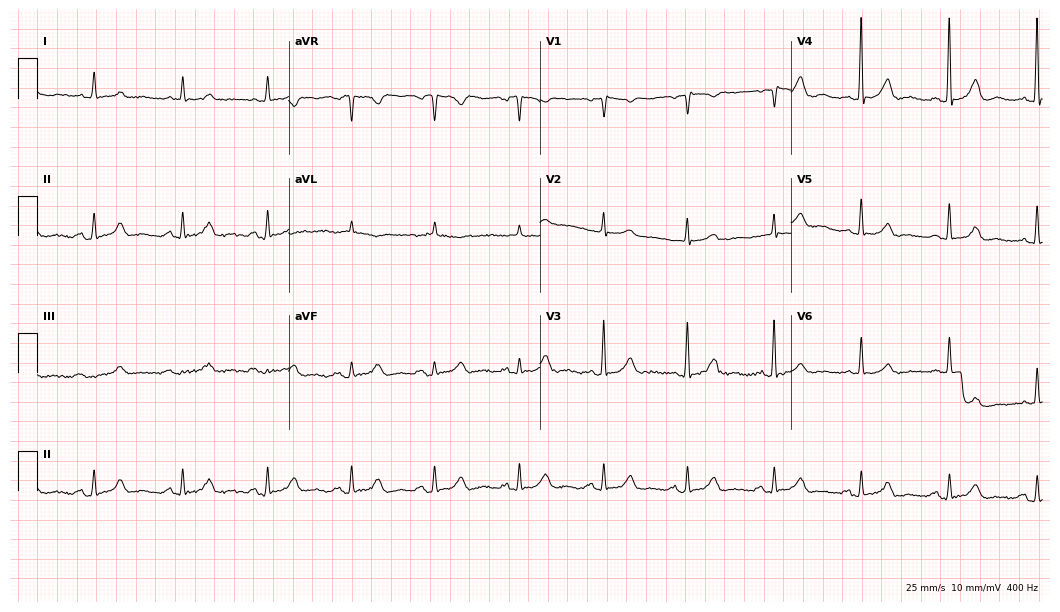
12-lead ECG from an 85-year-old man. Labelled as a normal ECG.